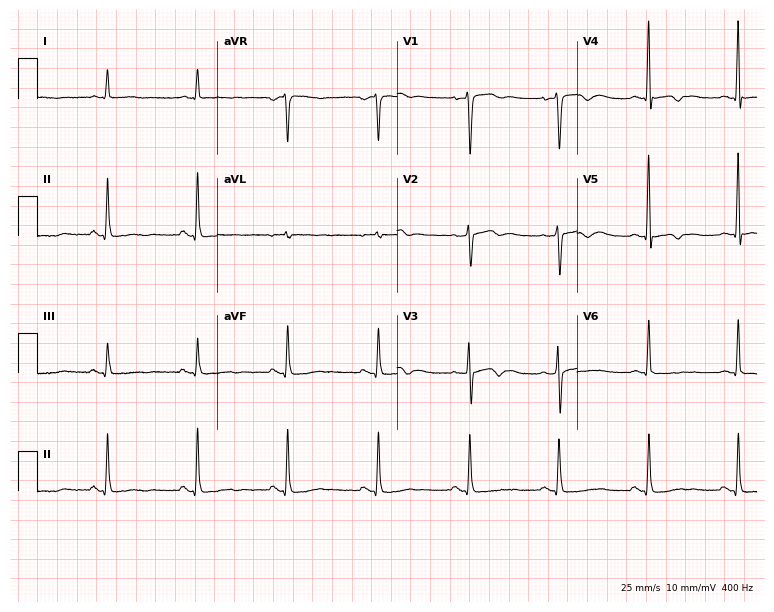
12-lead ECG from a man, 63 years old (7.3-second recording at 400 Hz). No first-degree AV block, right bundle branch block, left bundle branch block, sinus bradycardia, atrial fibrillation or sinus tachycardia recorded for this tracing.